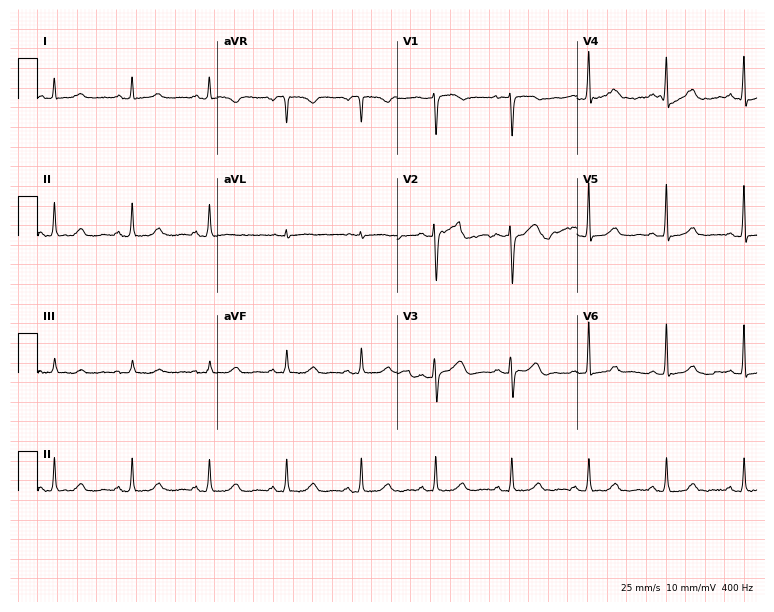
ECG (7.3-second recording at 400 Hz) — a 51-year-old female. Labelled as a normal ECG.